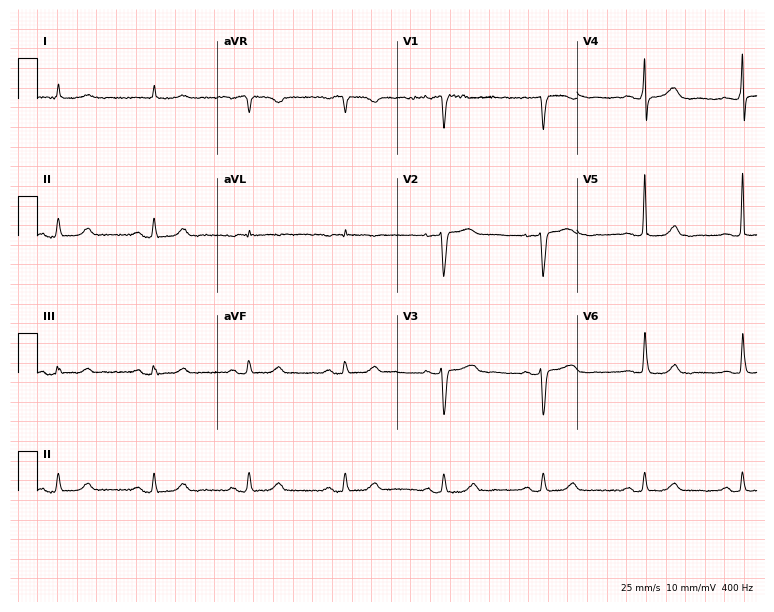
ECG — a female patient, 85 years old. Labelled as a normal ECG.